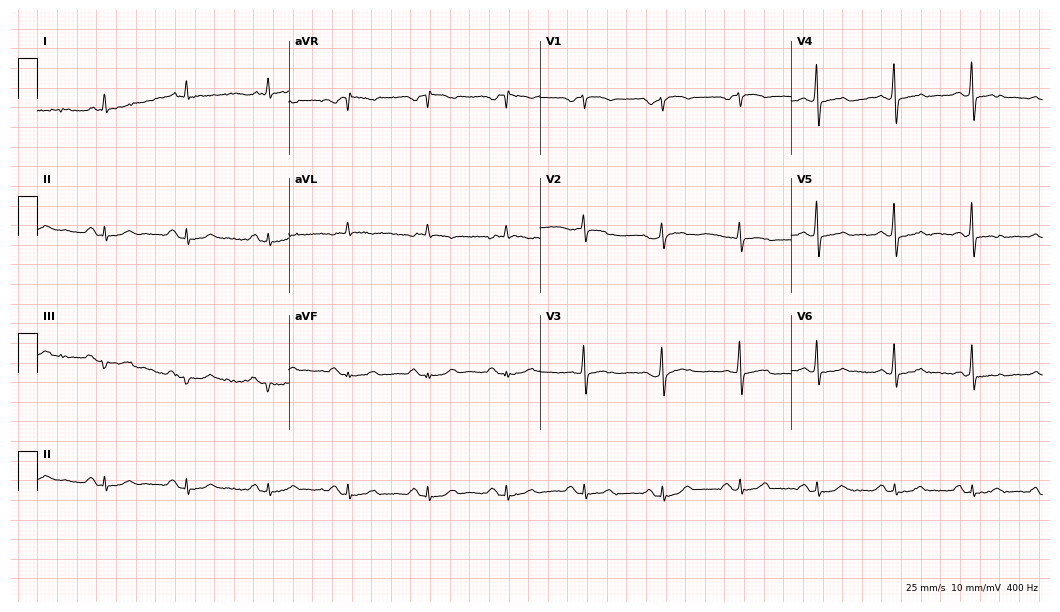
12-lead ECG from a male patient, 77 years old. No first-degree AV block, right bundle branch block, left bundle branch block, sinus bradycardia, atrial fibrillation or sinus tachycardia recorded for this tracing. Other findings, if any, are not listed.